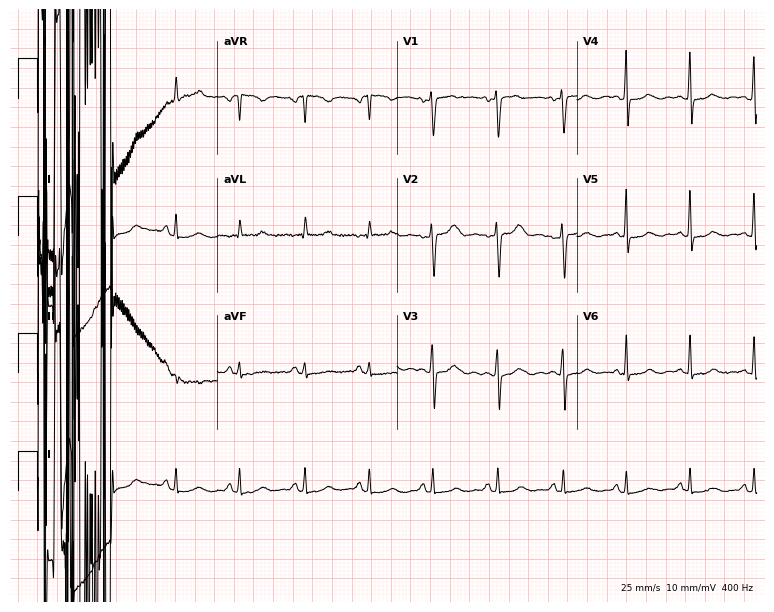
12-lead ECG (7.3-second recording at 400 Hz) from a female, 42 years old. Screened for six findings — first-degree AV block, right bundle branch block, left bundle branch block, sinus bradycardia, atrial fibrillation, sinus tachycardia — none is recorded.